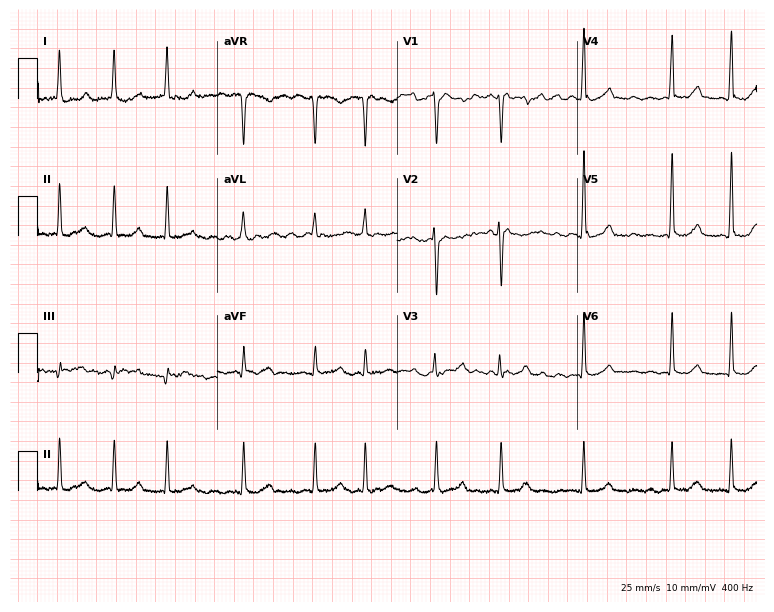
ECG — a woman, 36 years old. Findings include atrial fibrillation.